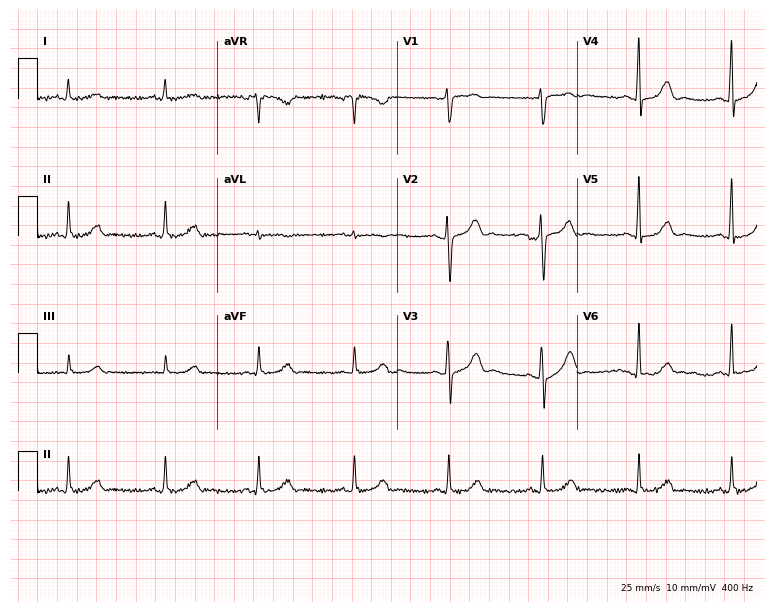
12-lead ECG from a female patient, 62 years old (7.3-second recording at 400 Hz). Recorded interpretation: within normal limits.